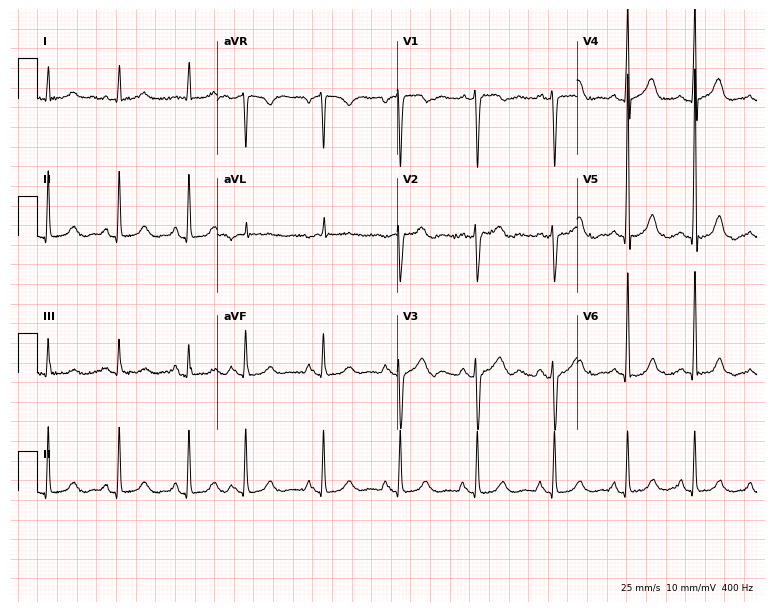
Electrocardiogram, a woman, 63 years old. Of the six screened findings (first-degree AV block, right bundle branch block, left bundle branch block, sinus bradycardia, atrial fibrillation, sinus tachycardia), none is recorded. Only these six findings were labelled.